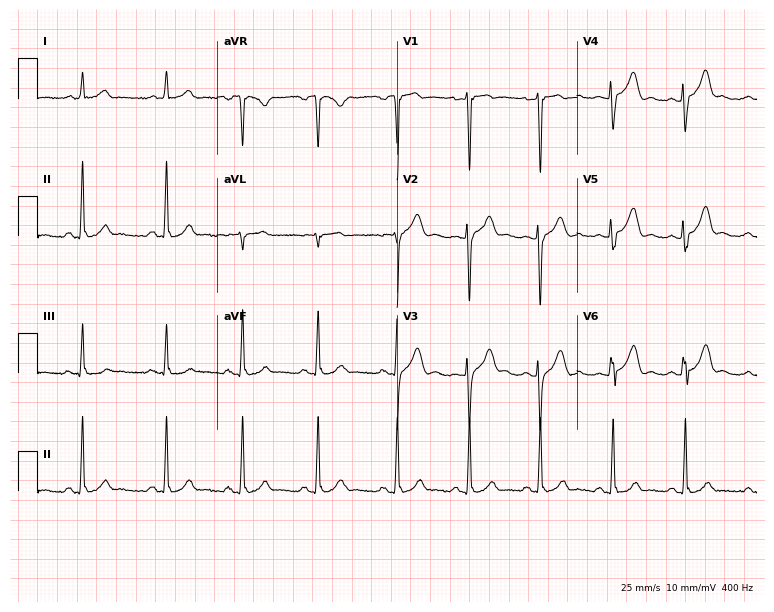
12-lead ECG from a 24-year-old man (7.3-second recording at 400 Hz). Recorded interpretation: within normal limits.